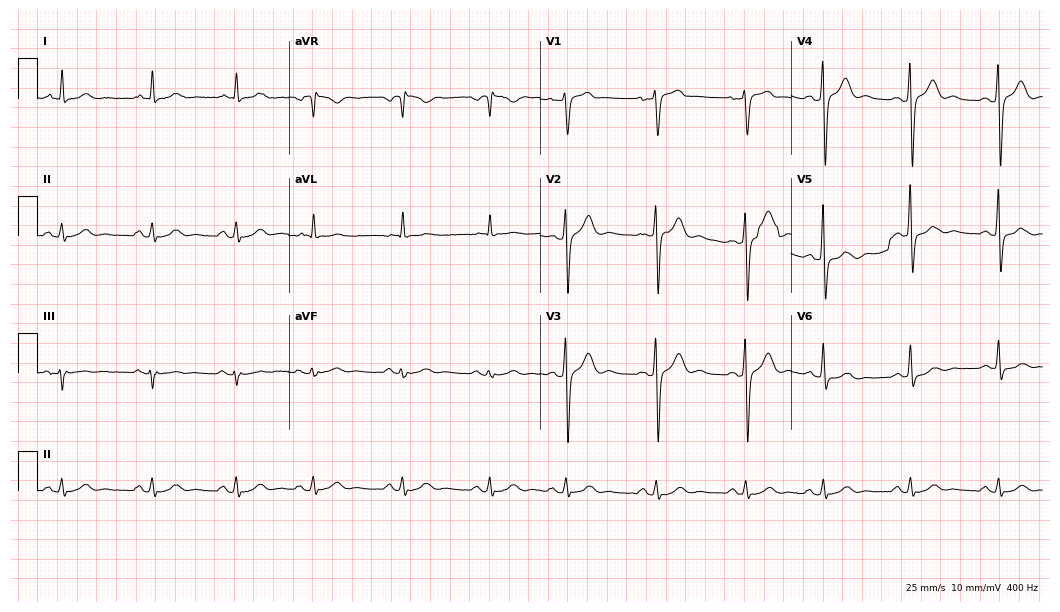
Standard 12-lead ECG recorded from a 58-year-old female patient (10.2-second recording at 400 Hz). Read as a normal ECG.